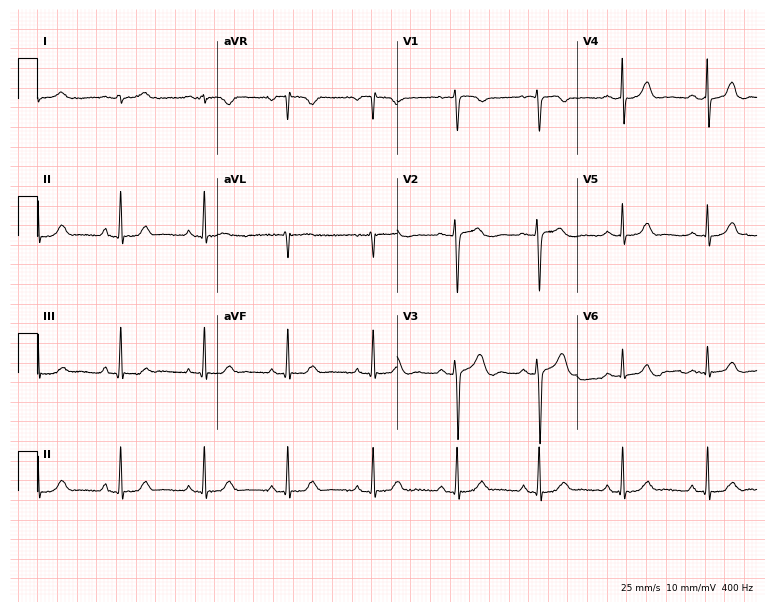
ECG (7.3-second recording at 400 Hz) — a woman, 26 years old. Labelled as a normal ECG.